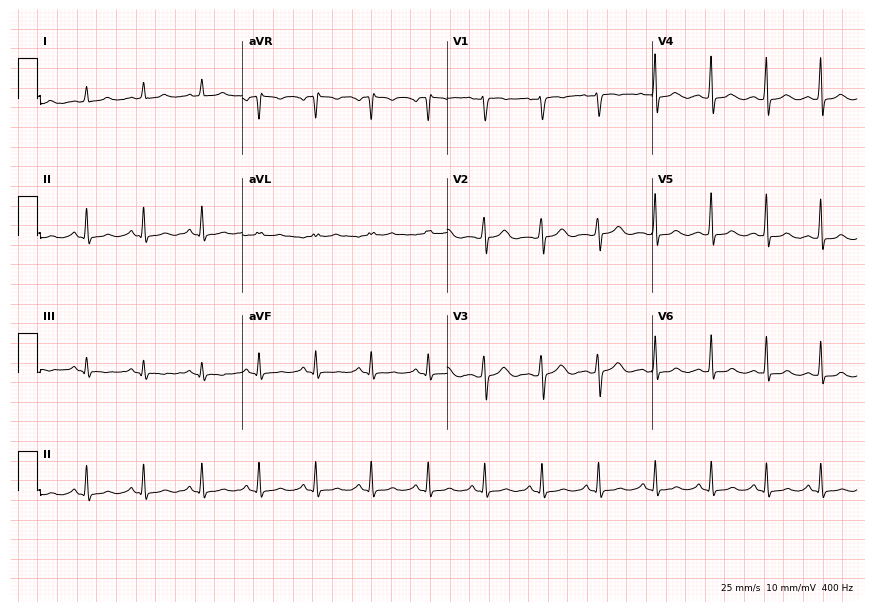
12-lead ECG (8.4-second recording at 400 Hz) from a female patient, 33 years old. Findings include sinus tachycardia (a sinus rate of 100 beats per minute or more).